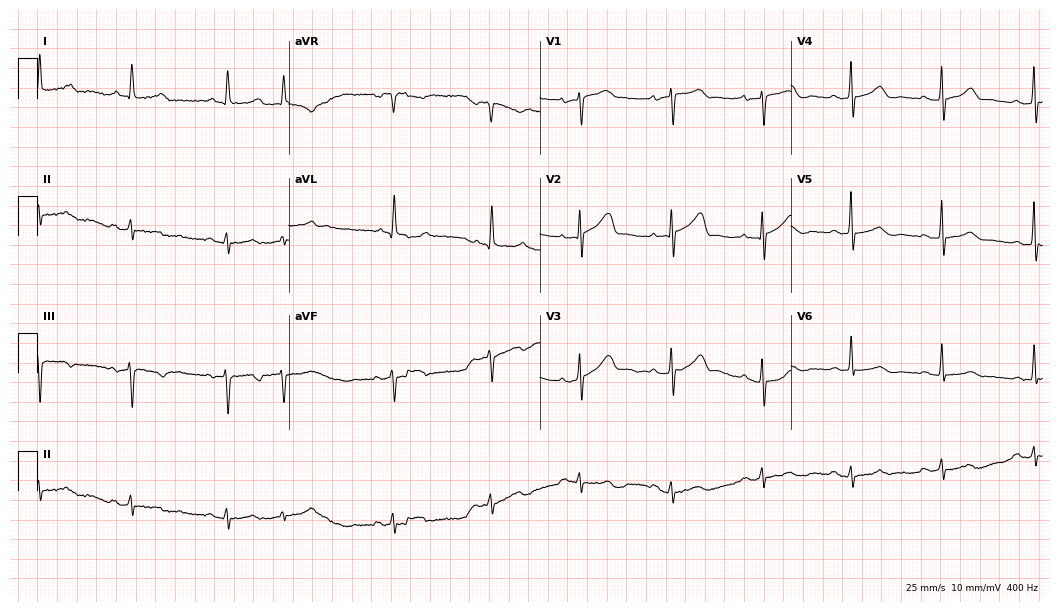
Resting 12-lead electrocardiogram. Patient: an 81-year-old female. Read as a normal ECG.